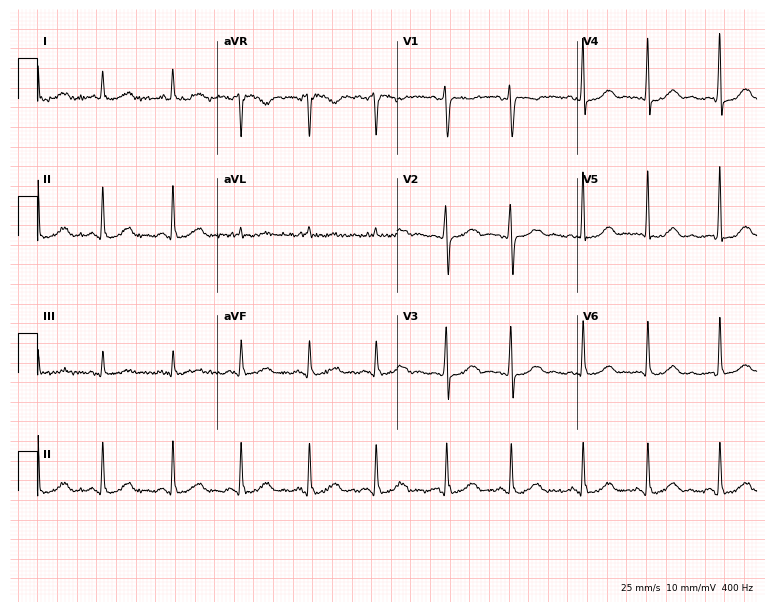
Electrocardiogram, a 61-year-old woman. Of the six screened findings (first-degree AV block, right bundle branch block (RBBB), left bundle branch block (LBBB), sinus bradycardia, atrial fibrillation (AF), sinus tachycardia), none is recorded. Findings outside these six are not listed.